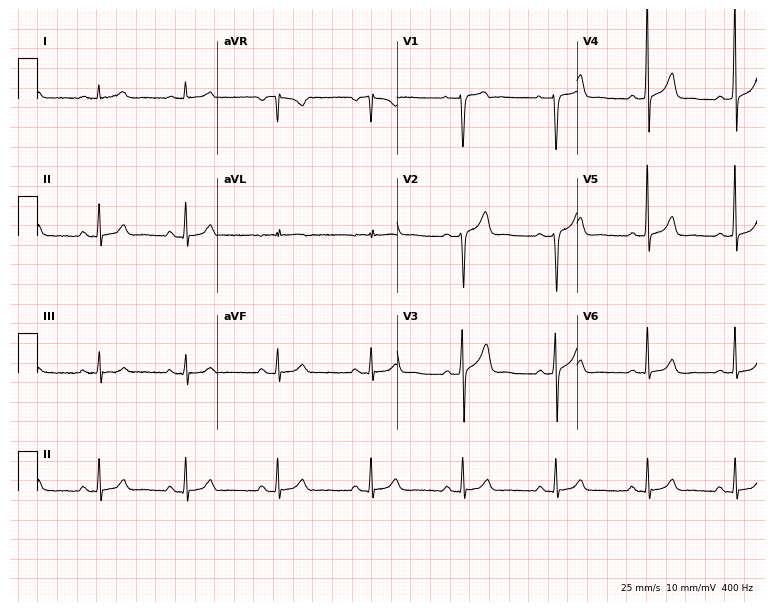
Standard 12-lead ECG recorded from a 43-year-old male (7.3-second recording at 400 Hz). None of these six findings is recorded: first-degree AV block, right bundle branch block, left bundle branch block, sinus bradycardia, atrial fibrillation, sinus tachycardia. Only these six findings were labelled.